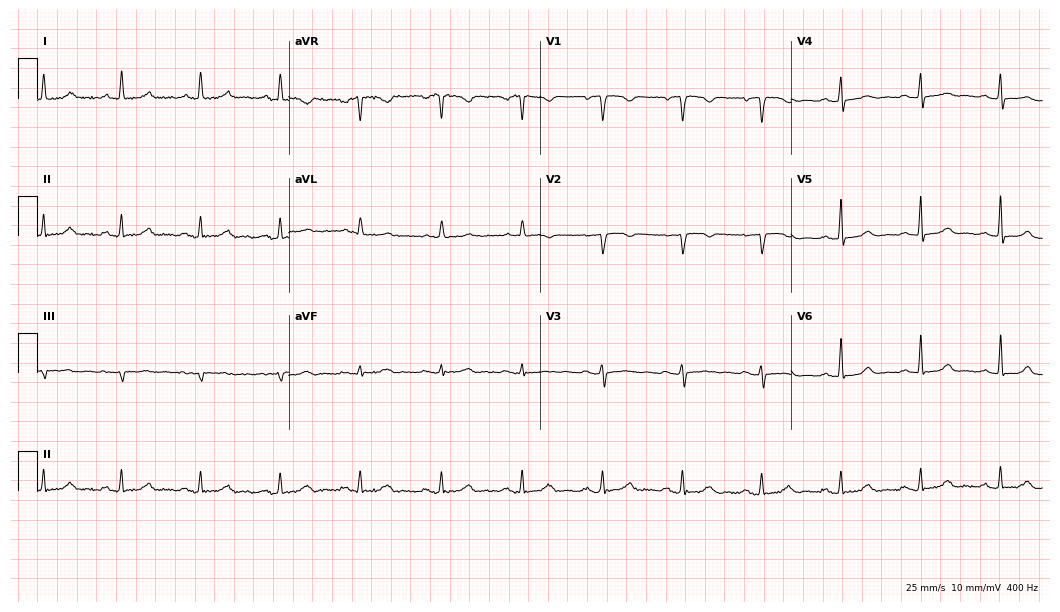
12-lead ECG from a female patient, 67 years old. Labelled as a normal ECG.